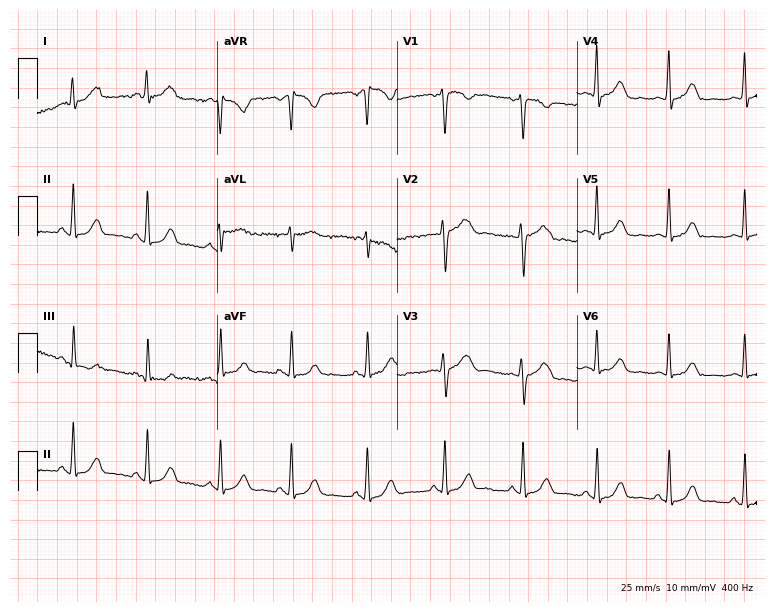
Standard 12-lead ECG recorded from a 40-year-old female patient (7.3-second recording at 400 Hz). None of these six findings is recorded: first-degree AV block, right bundle branch block, left bundle branch block, sinus bradycardia, atrial fibrillation, sinus tachycardia. Other findings, if any, are not listed.